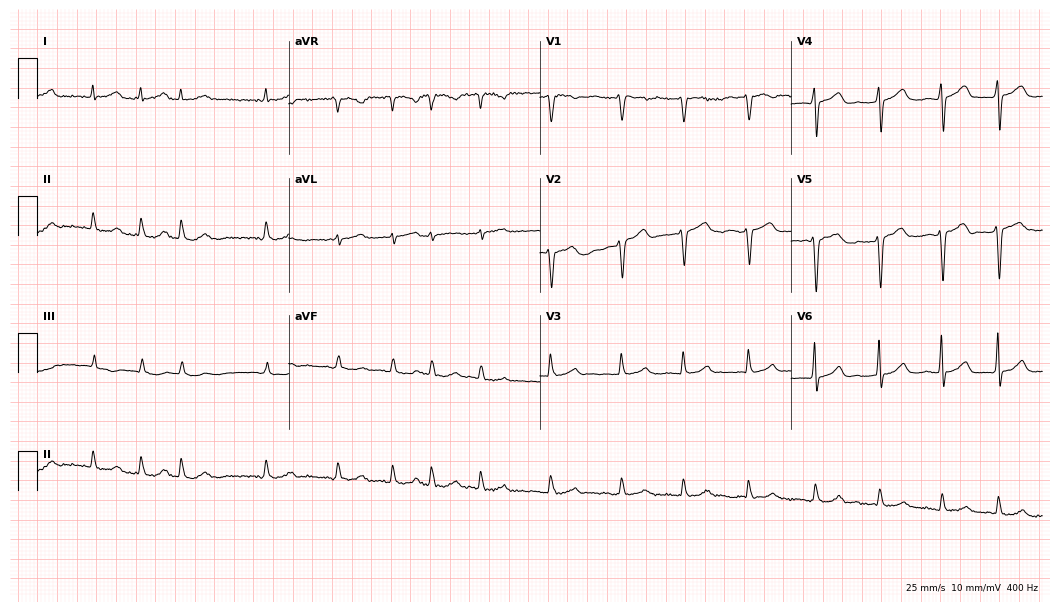
ECG — a 73-year-old female patient. Screened for six findings — first-degree AV block, right bundle branch block, left bundle branch block, sinus bradycardia, atrial fibrillation, sinus tachycardia — none is recorded.